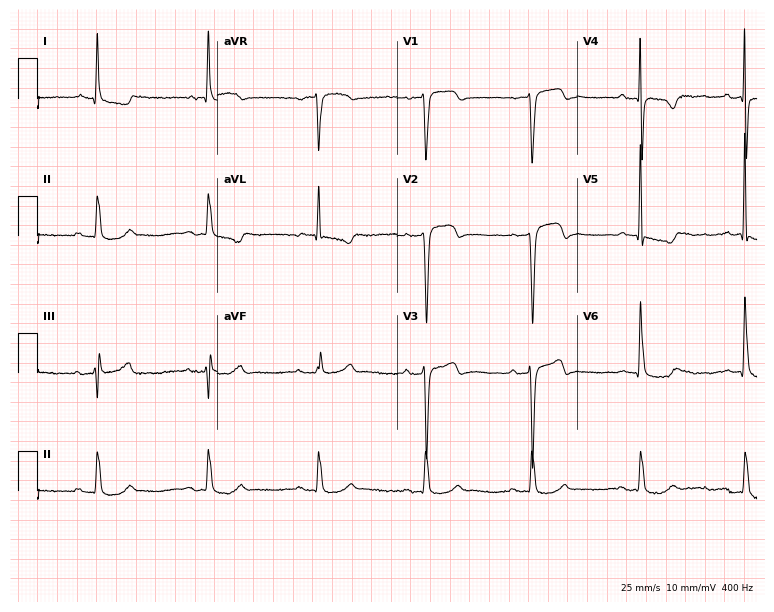
Resting 12-lead electrocardiogram. Patient: an 80-year-old male. None of these six findings is recorded: first-degree AV block, right bundle branch block, left bundle branch block, sinus bradycardia, atrial fibrillation, sinus tachycardia.